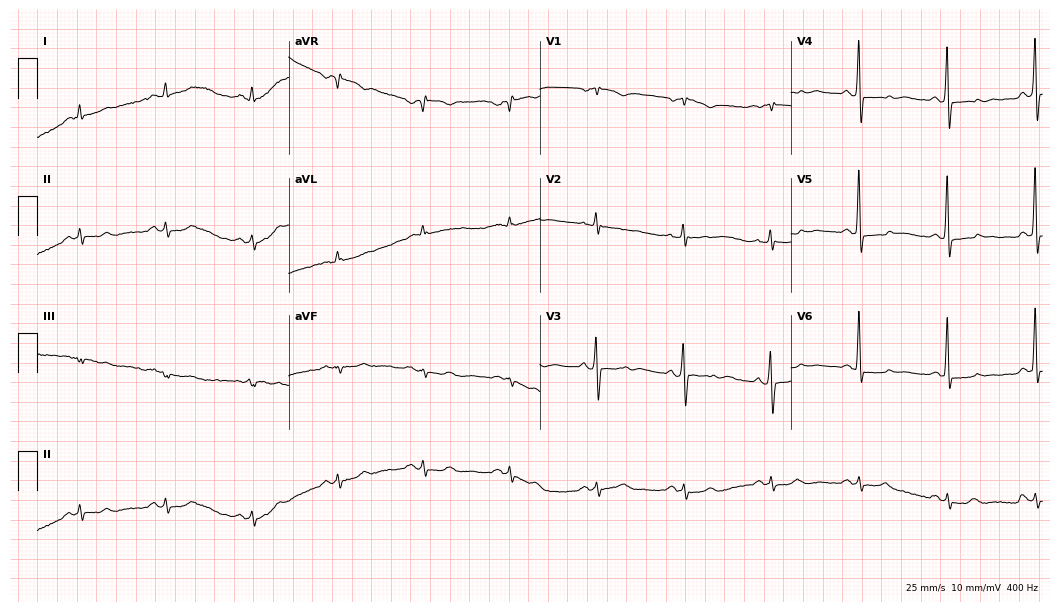
12-lead ECG from a male patient, 78 years old. Screened for six findings — first-degree AV block, right bundle branch block, left bundle branch block, sinus bradycardia, atrial fibrillation, sinus tachycardia — none is recorded. Findings outside these six are not listed.